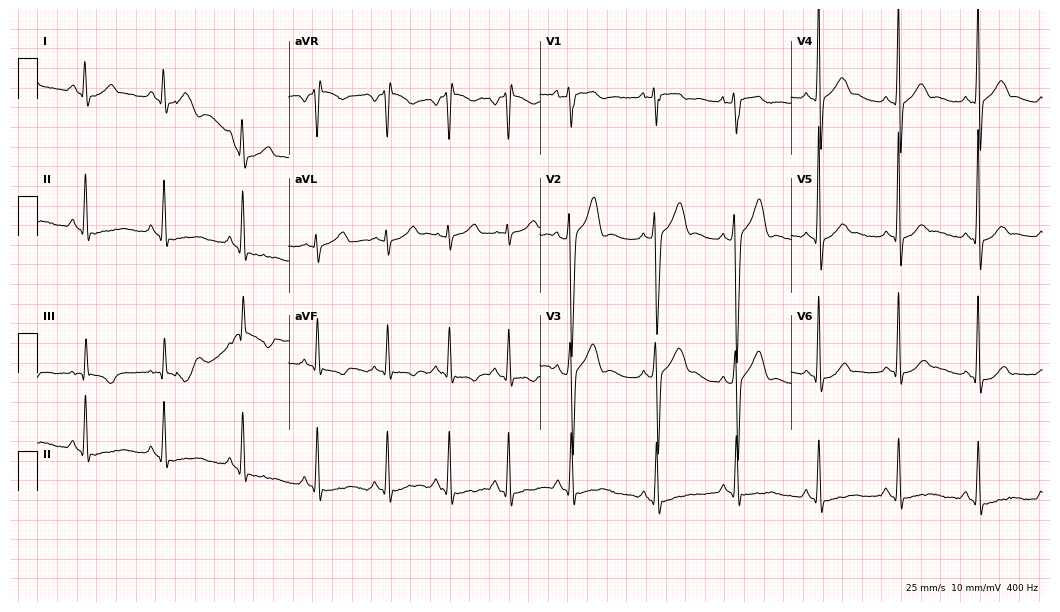
Electrocardiogram, a male patient, 30 years old. Of the six screened findings (first-degree AV block, right bundle branch block (RBBB), left bundle branch block (LBBB), sinus bradycardia, atrial fibrillation (AF), sinus tachycardia), none is recorded.